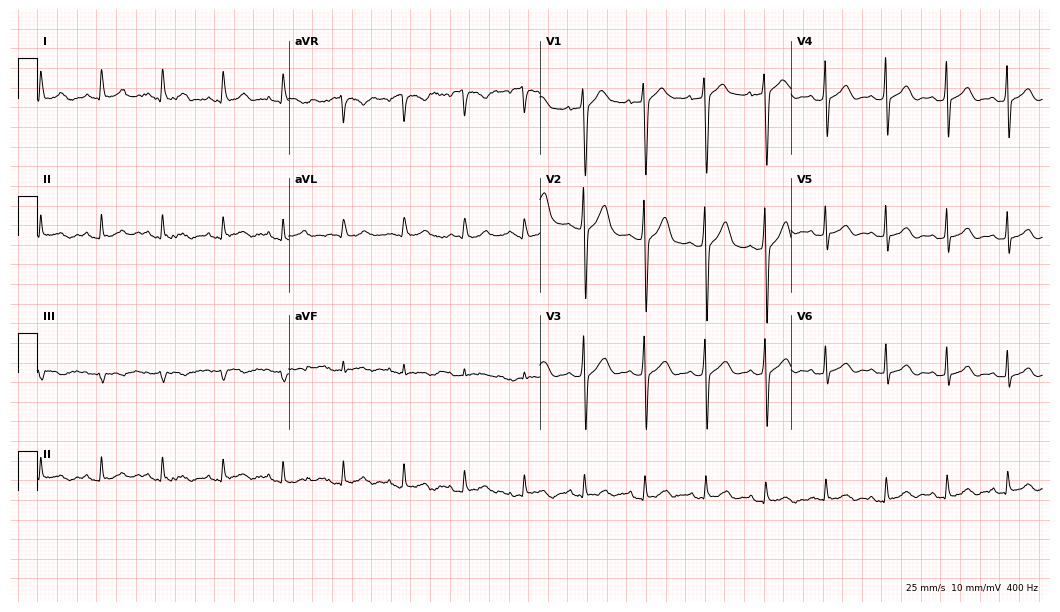
Resting 12-lead electrocardiogram. Patient: a 27-year-old male. None of these six findings is recorded: first-degree AV block, right bundle branch block, left bundle branch block, sinus bradycardia, atrial fibrillation, sinus tachycardia.